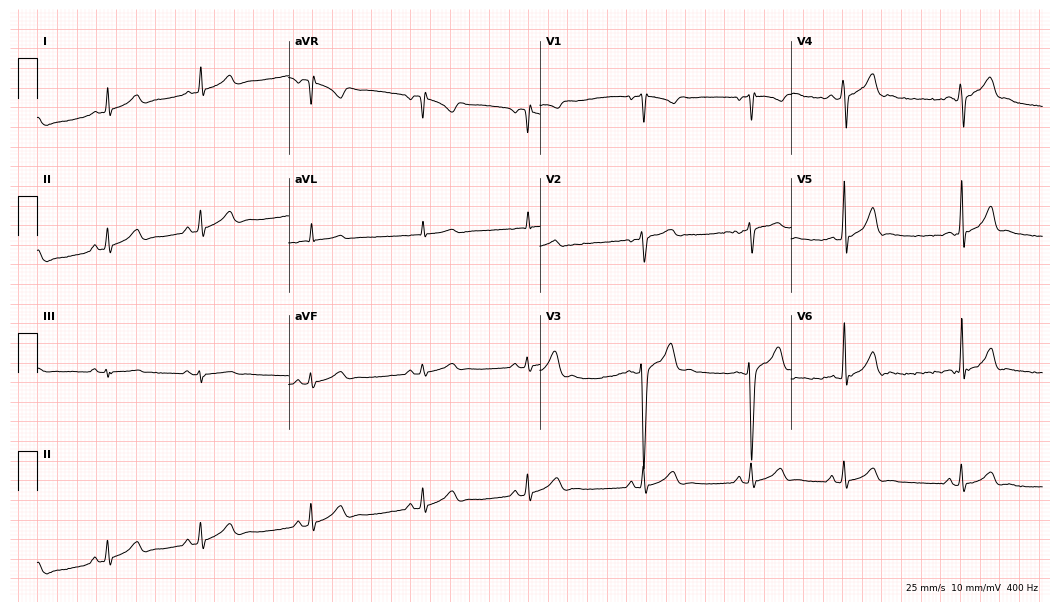
Standard 12-lead ECG recorded from a man, 17 years old (10.2-second recording at 400 Hz). Read as a normal ECG.